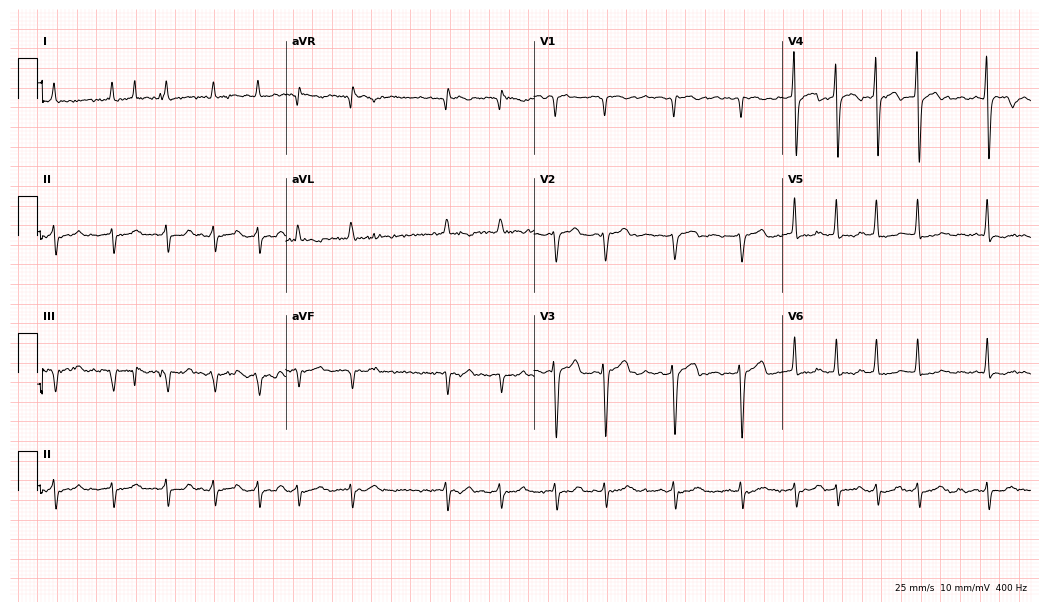
12-lead ECG from a male patient, 82 years old. Shows atrial fibrillation (AF).